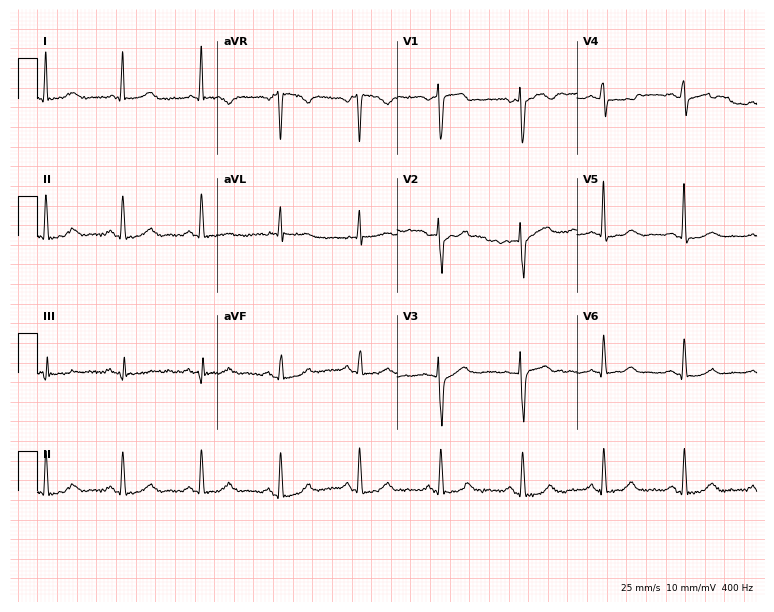
12-lead ECG from a 52-year-old female patient (7.3-second recording at 400 Hz). Recorded interpretation: within normal limits.